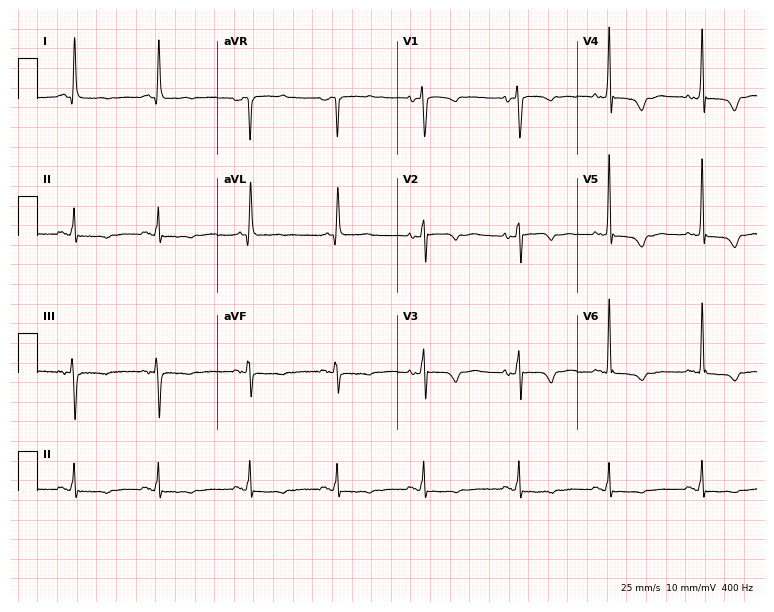
12-lead ECG from a female patient, 73 years old. Screened for six findings — first-degree AV block, right bundle branch block, left bundle branch block, sinus bradycardia, atrial fibrillation, sinus tachycardia — none is recorded.